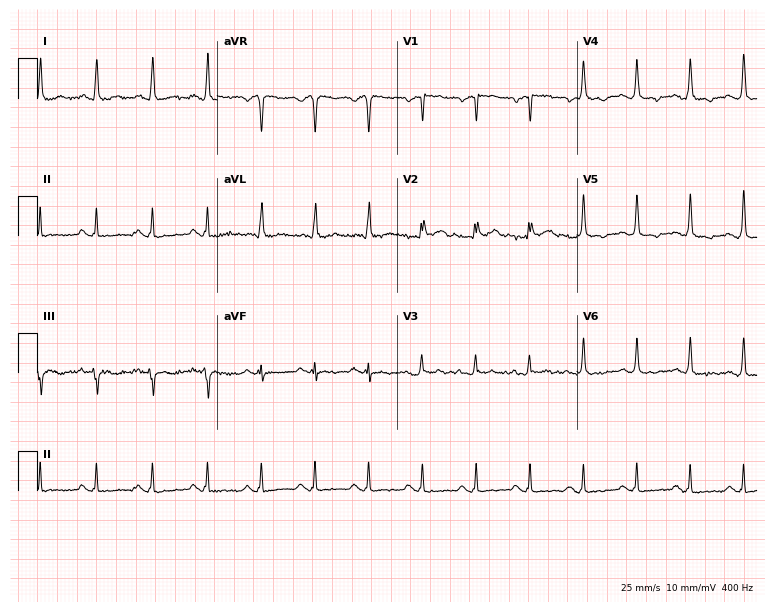
12-lead ECG from a male, 59 years old (7.3-second recording at 400 Hz). Shows sinus tachycardia (a sinus rate of 100 beats per minute or more).